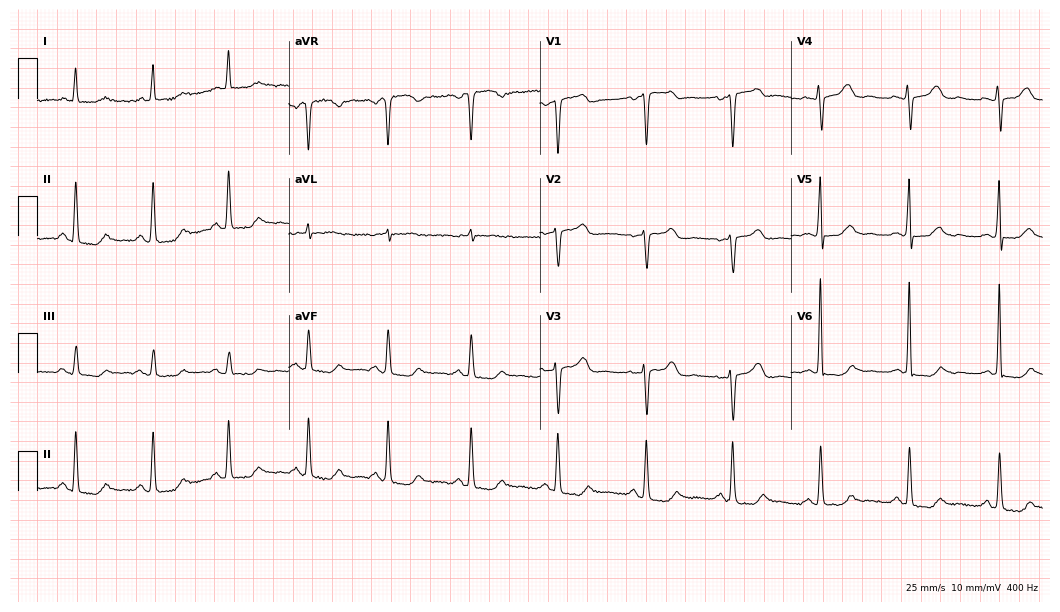
ECG — a 55-year-old female. Screened for six findings — first-degree AV block, right bundle branch block (RBBB), left bundle branch block (LBBB), sinus bradycardia, atrial fibrillation (AF), sinus tachycardia — none is recorded. Only these six findings were labelled.